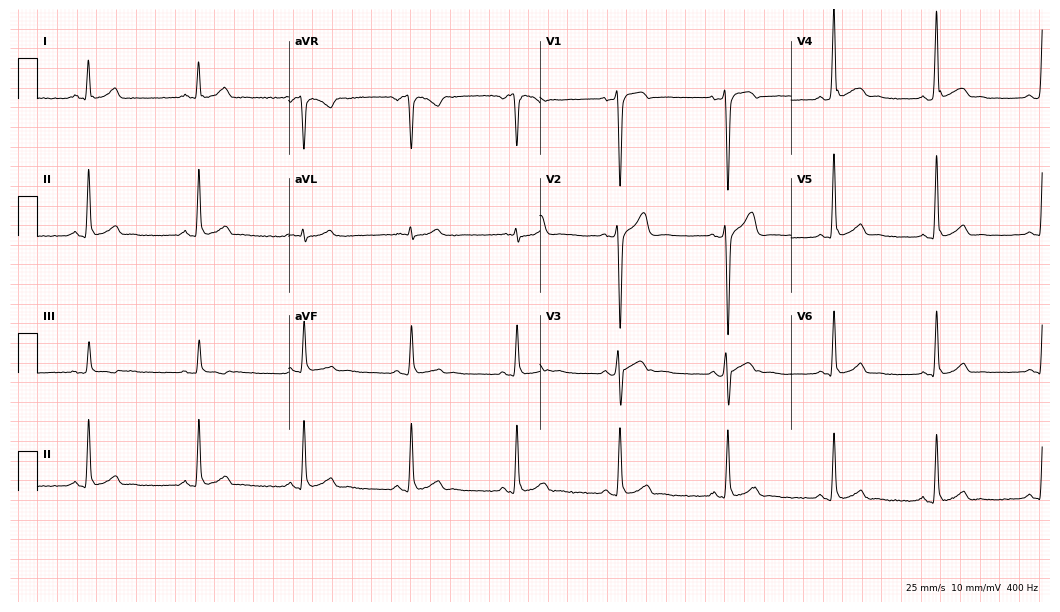
Standard 12-lead ECG recorded from a 29-year-old male patient. None of these six findings is recorded: first-degree AV block, right bundle branch block, left bundle branch block, sinus bradycardia, atrial fibrillation, sinus tachycardia.